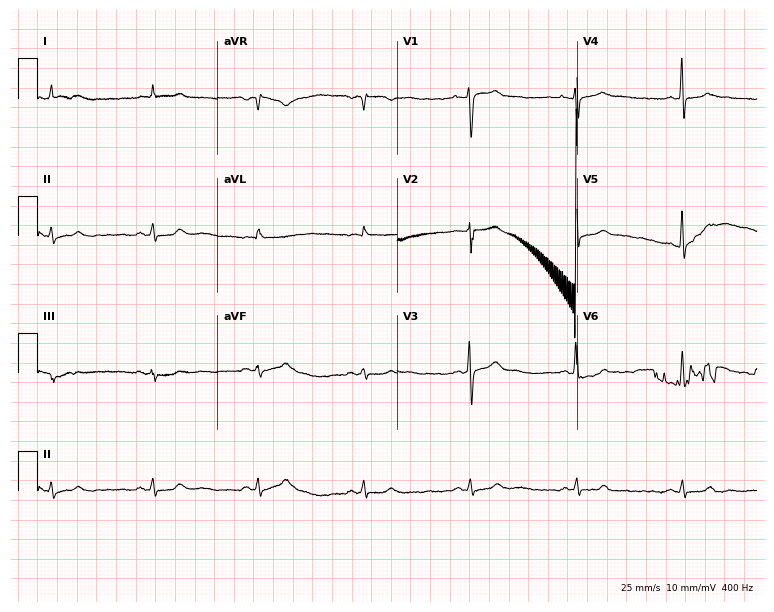
ECG (7.3-second recording at 400 Hz) — a woman, 32 years old. Screened for six findings — first-degree AV block, right bundle branch block, left bundle branch block, sinus bradycardia, atrial fibrillation, sinus tachycardia — none is recorded. Only these six findings were labelled.